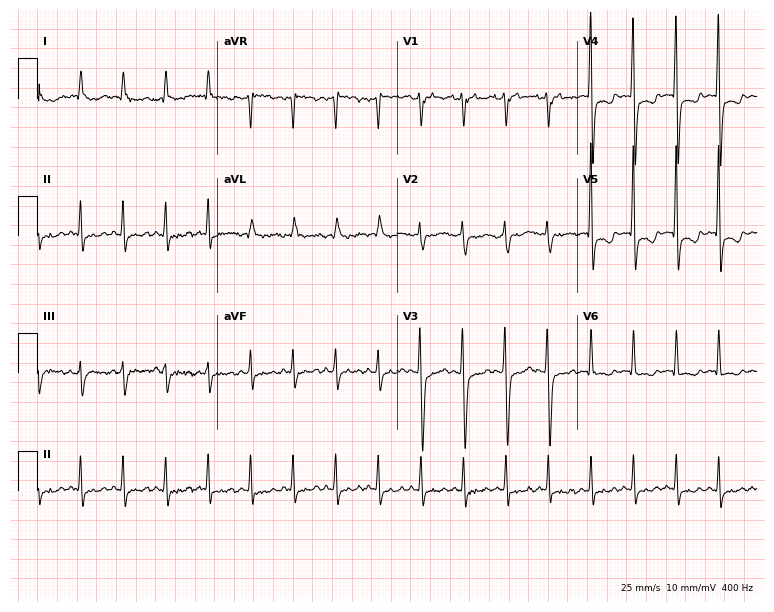
Electrocardiogram, a female, 80 years old. Interpretation includes sinus tachycardia (a sinus rate of 100 beats per minute or more).